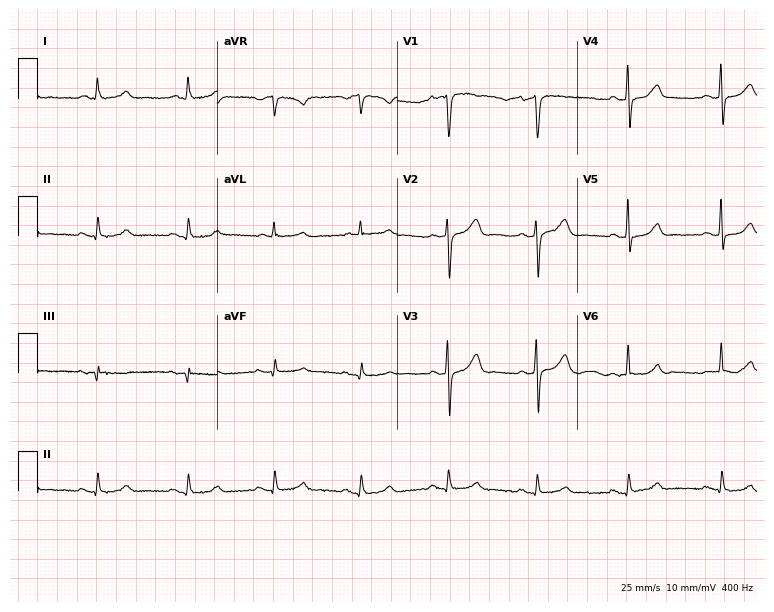
Standard 12-lead ECG recorded from a 58-year-old male. Read as a normal ECG.